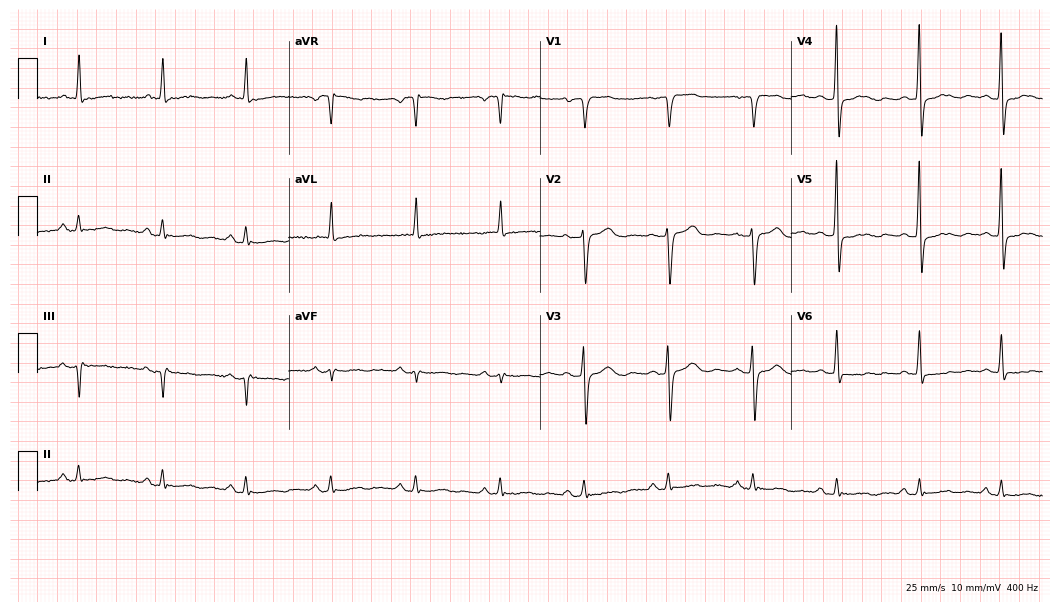
12-lead ECG from a man, 74 years old (10.2-second recording at 400 Hz). No first-degree AV block, right bundle branch block (RBBB), left bundle branch block (LBBB), sinus bradycardia, atrial fibrillation (AF) or sinus tachycardia recorded for this tracing.